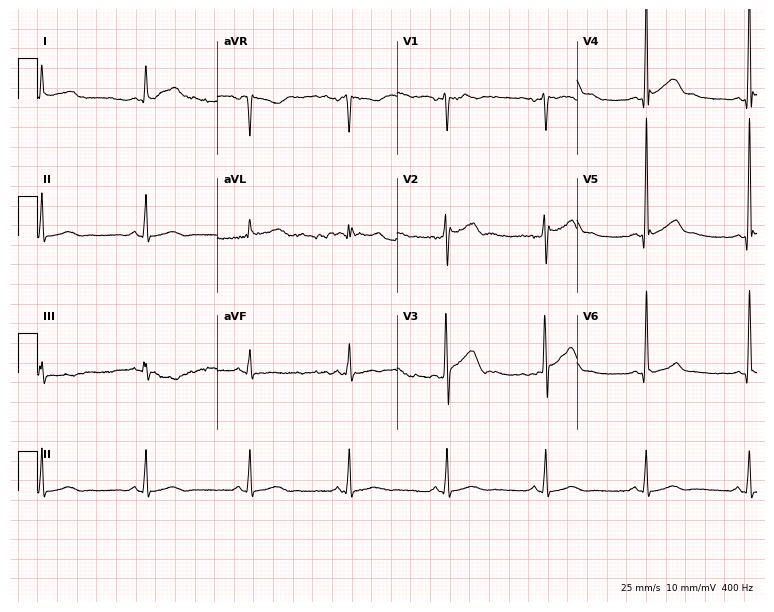
12-lead ECG from a male, 43 years old. Screened for six findings — first-degree AV block, right bundle branch block (RBBB), left bundle branch block (LBBB), sinus bradycardia, atrial fibrillation (AF), sinus tachycardia — none is recorded.